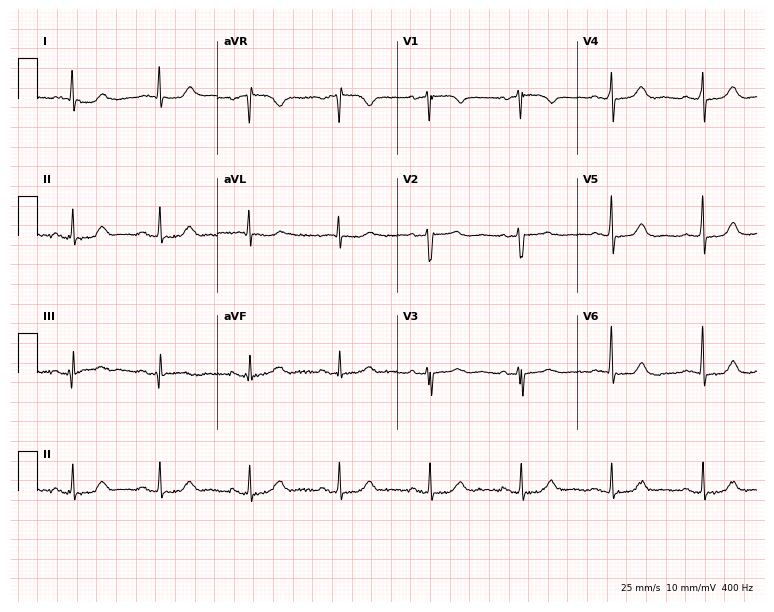
Electrocardiogram, an 83-year-old female patient. Overall reading on record: normal ECG.